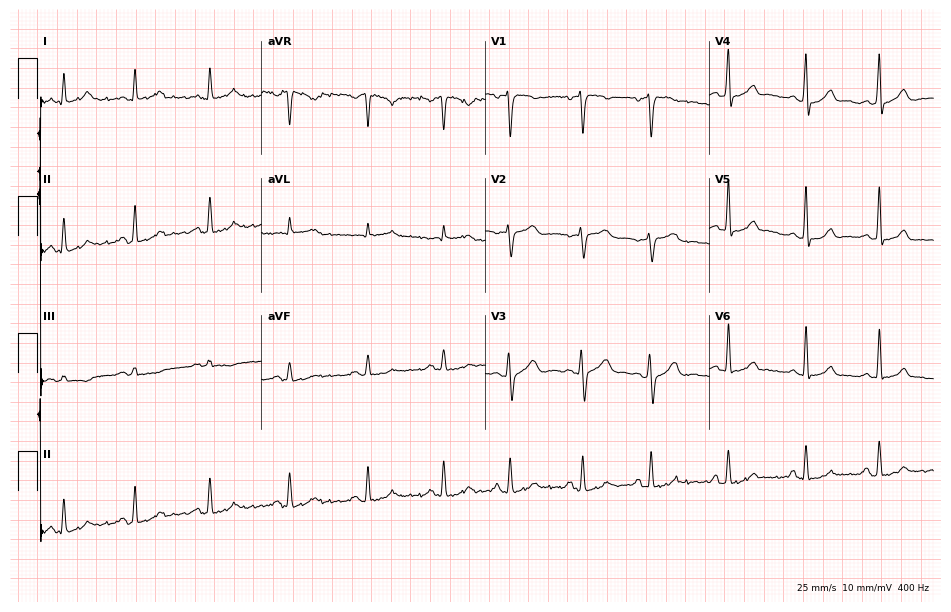
Electrocardiogram, a 28-year-old female patient. Overall reading on record: normal ECG.